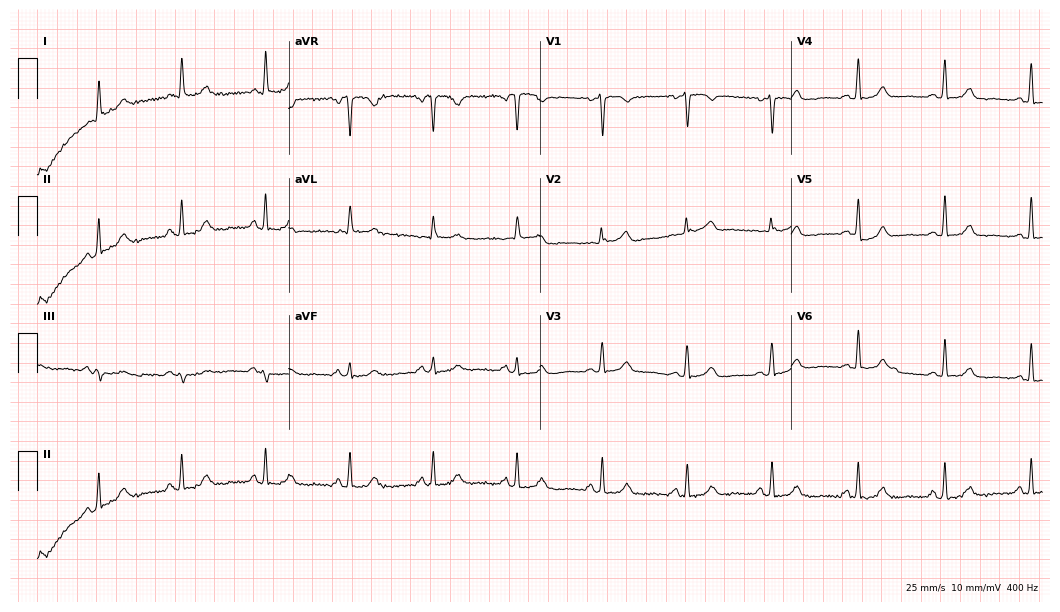
Standard 12-lead ECG recorded from a 49-year-old female (10.2-second recording at 400 Hz). Read as a normal ECG.